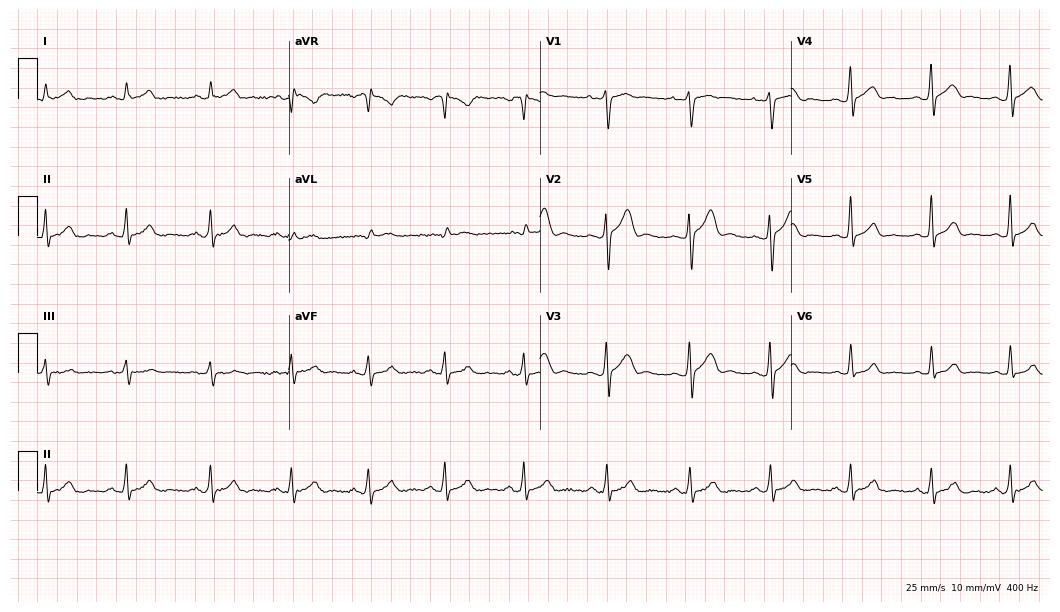
12-lead ECG from a male patient, 24 years old (10.2-second recording at 400 Hz). Recorded interpretation: within normal limits.